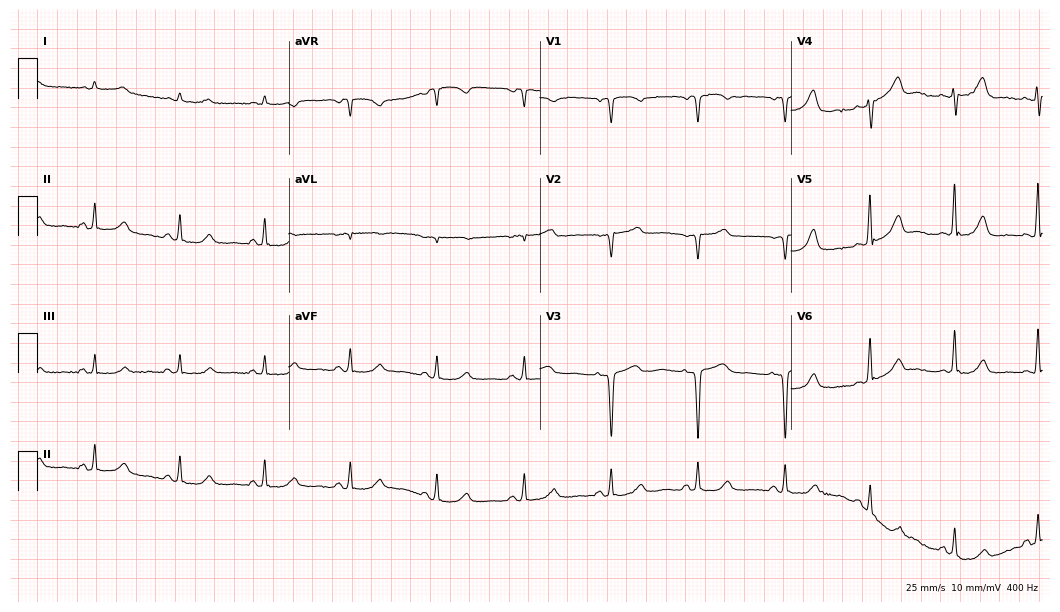
12-lead ECG from a female, 68 years old. No first-degree AV block, right bundle branch block (RBBB), left bundle branch block (LBBB), sinus bradycardia, atrial fibrillation (AF) or sinus tachycardia recorded for this tracing. Findings outside these six are not listed.